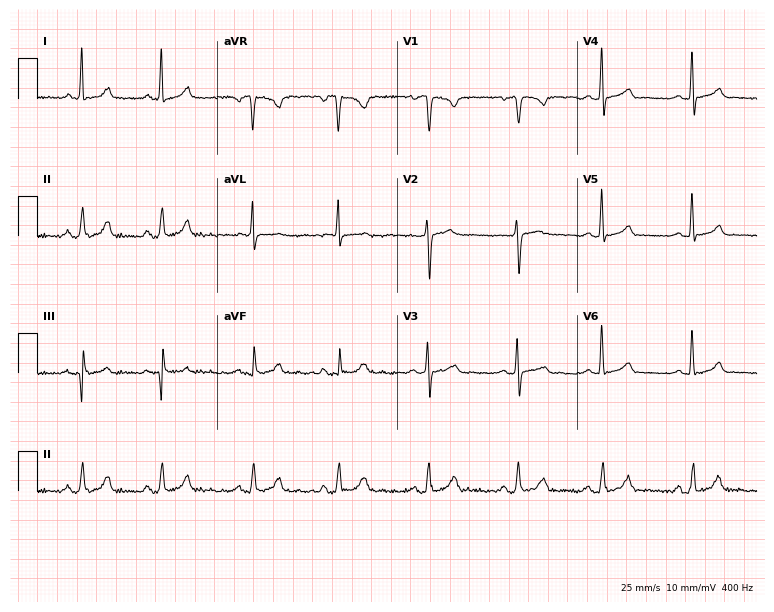
ECG (7.3-second recording at 400 Hz) — a woman, 47 years old. Screened for six findings — first-degree AV block, right bundle branch block, left bundle branch block, sinus bradycardia, atrial fibrillation, sinus tachycardia — none is recorded. Only these six findings were labelled.